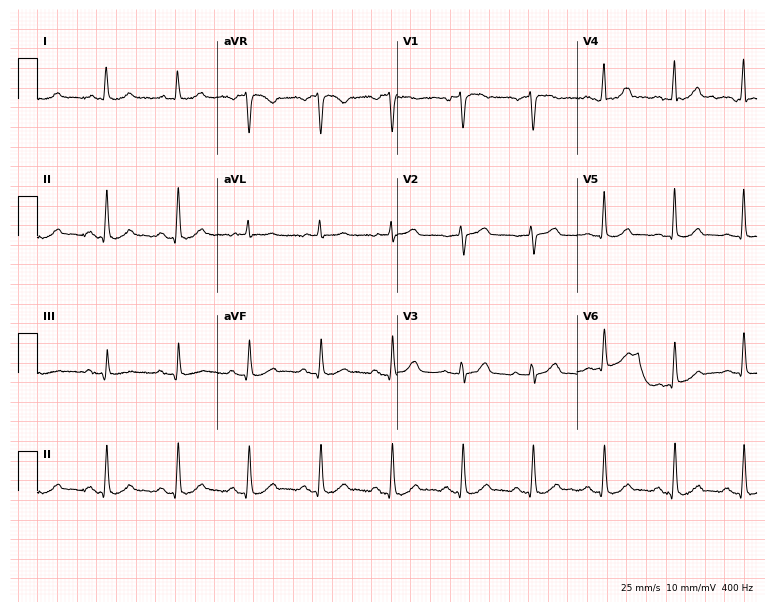
Electrocardiogram, a female, 74 years old. Overall reading on record: normal ECG.